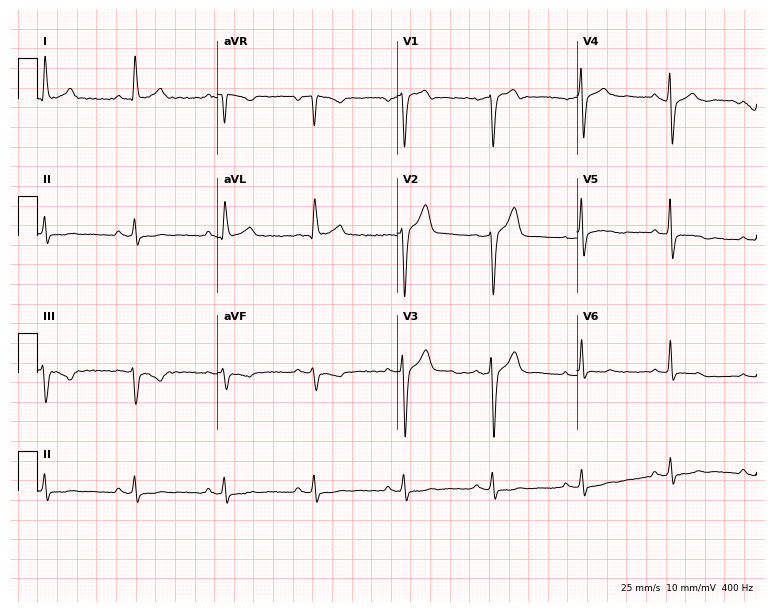
12-lead ECG (7.3-second recording at 400 Hz) from a 60-year-old male patient. Screened for six findings — first-degree AV block, right bundle branch block (RBBB), left bundle branch block (LBBB), sinus bradycardia, atrial fibrillation (AF), sinus tachycardia — none is recorded.